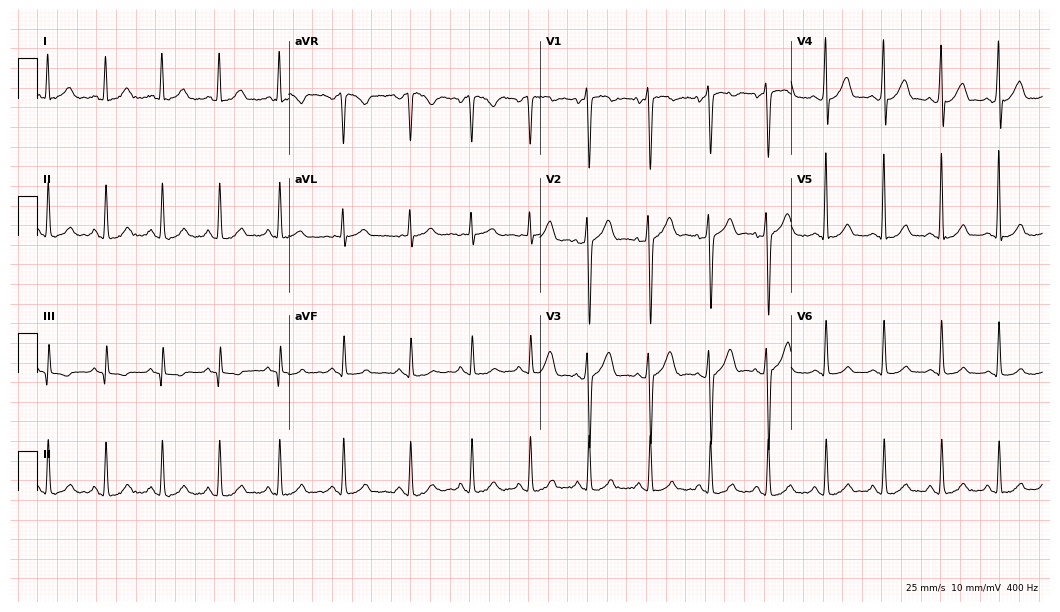
Standard 12-lead ECG recorded from a 30-year-old man (10.2-second recording at 400 Hz). None of these six findings is recorded: first-degree AV block, right bundle branch block (RBBB), left bundle branch block (LBBB), sinus bradycardia, atrial fibrillation (AF), sinus tachycardia. Only these six findings were labelled.